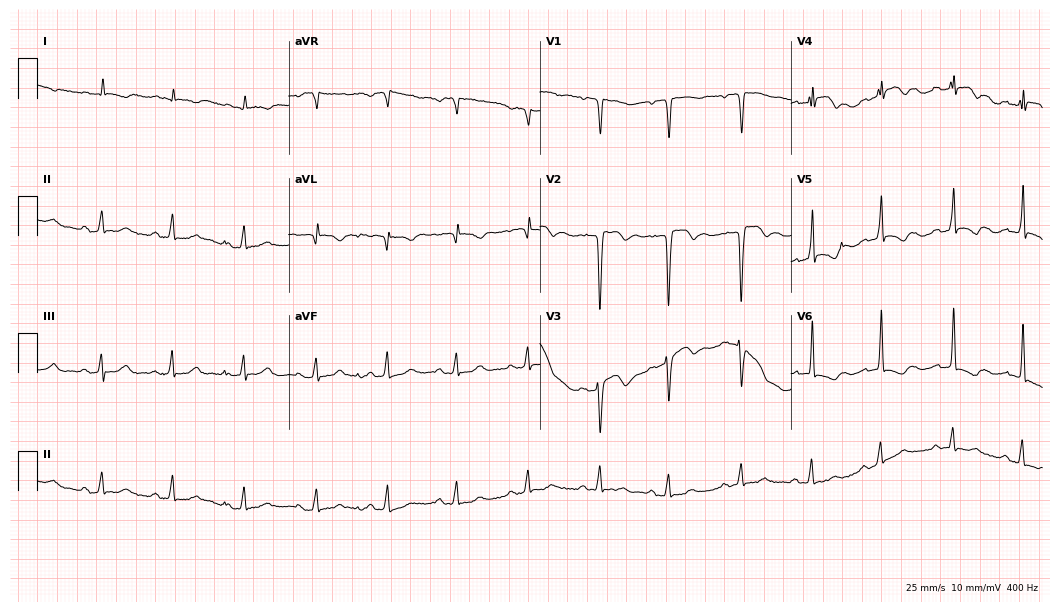
Standard 12-lead ECG recorded from a female patient, 87 years old (10.2-second recording at 400 Hz). None of these six findings is recorded: first-degree AV block, right bundle branch block (RBBB), left bundle branch block (LBBB), sinus bradycardia, atrial fibrillation (AF), sinus tachycardia. Findings outside these six are not listed.